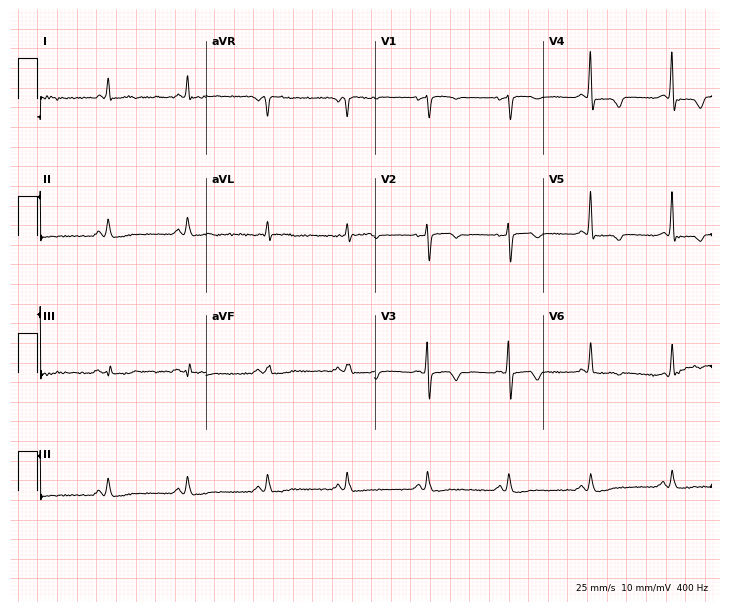
Electrocardiogram, a woman, 77 years old. Of the six screened findings (first-degree AV block, right bundle branch block, left bundle branch block, sinus bradycardia, atrial fibrillation, sinus tachycardia), none is recorded.